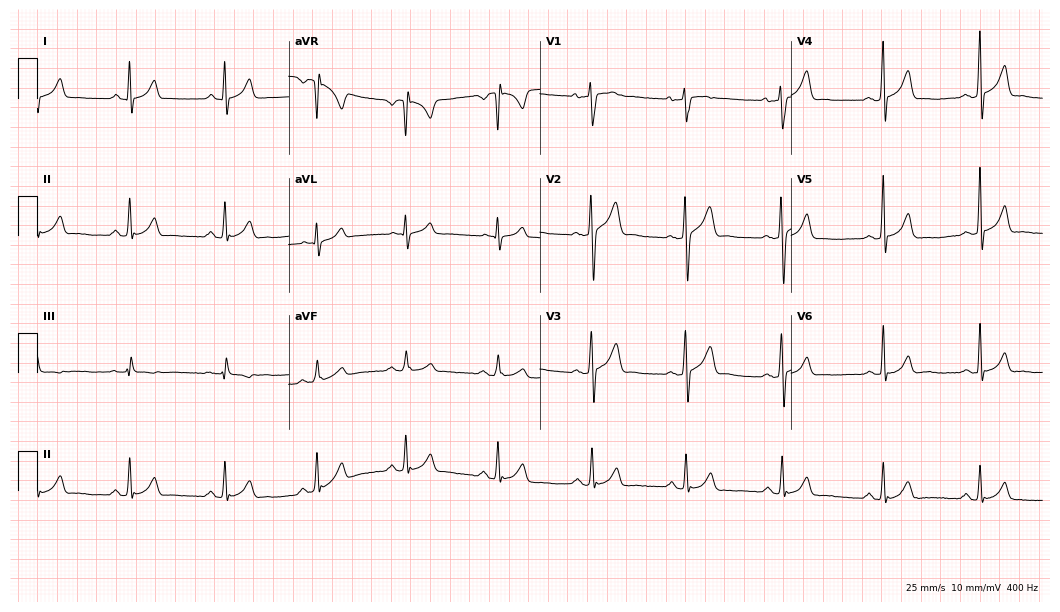
Resting 12-lead electrocardiogram. Patient: a 30-year-old male. None of these six findings is recorded: first-degree AV block, right bundle branch block, left bundle branch block, sinus bradycardia, atrial fibrillation, sinus tachycardia.